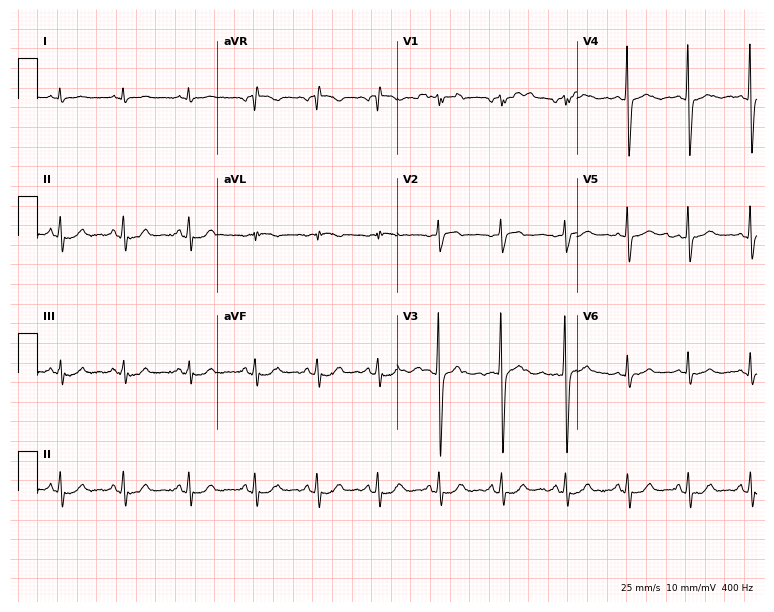
Standard 12-lead ECG recorded from a 46-year-old male. Read as a normal ECG.